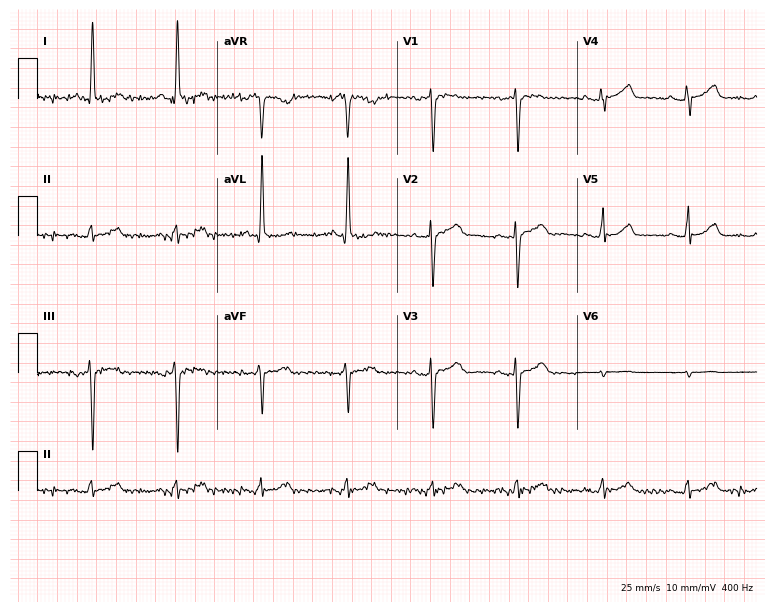
Standard 12-lead ECG recorded from a female patient, 83 years old (7.3-second recording at 400 Hz). Read as a normal ECG.